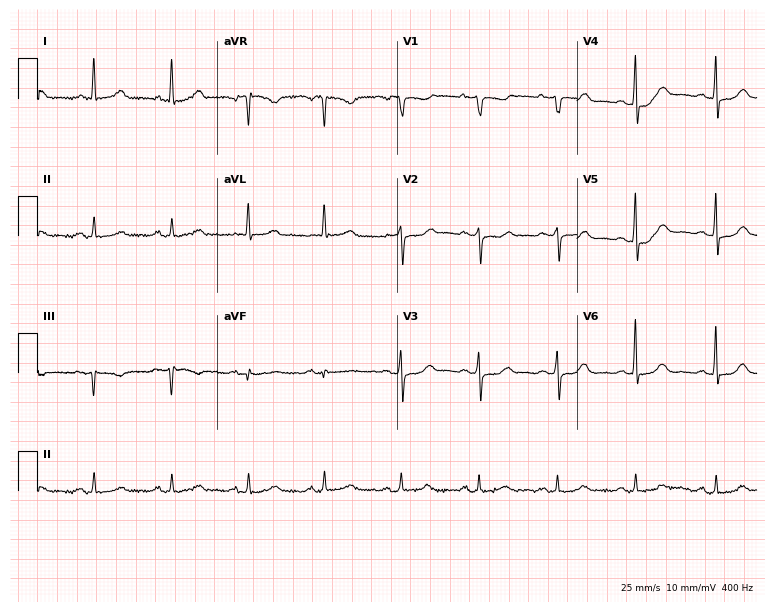
Resting 12-lead electrocardiogram. Patient: a female, 63 years old. None of these six findings is recorded: first-degree AV block, right bundle branch block (RBBB), left bundle branch block (LBBB), sinus bradycardia, atrial fibrillation (AF), sinus tachycardia.